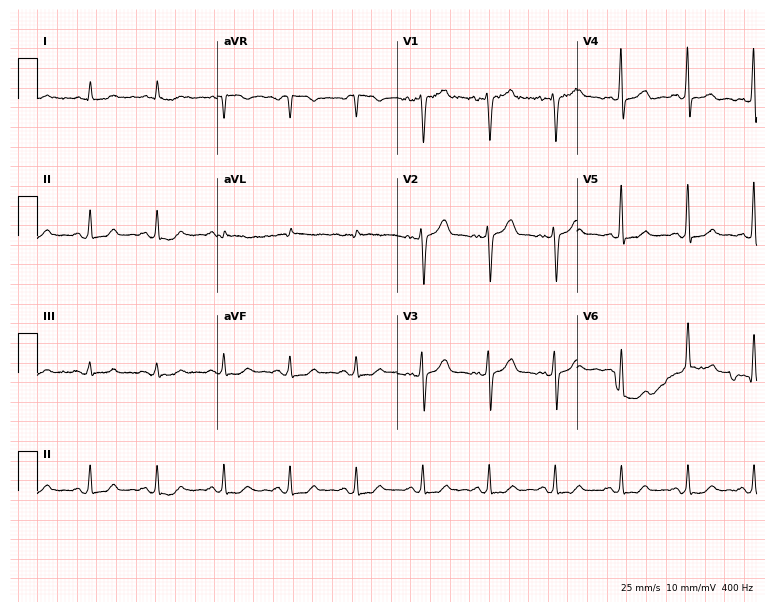
12-lead ECG (7.3-second recording at 400 Hz) from a male, 67 years old. Labelled as a normal ECG.